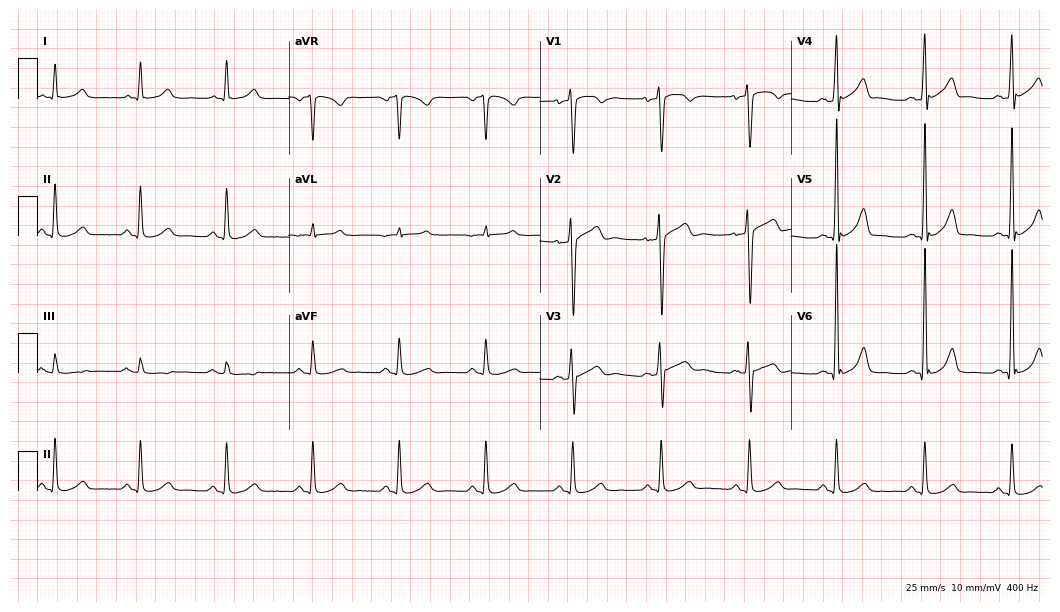
Standard 12-lead ECG recorded from a man, 56 years old. None of these six findings is recorded: first-degree AV block, right bundle branch block, left bundle branch block, sinus bradycardia, atrial fibrillation, sinus tachycardia.